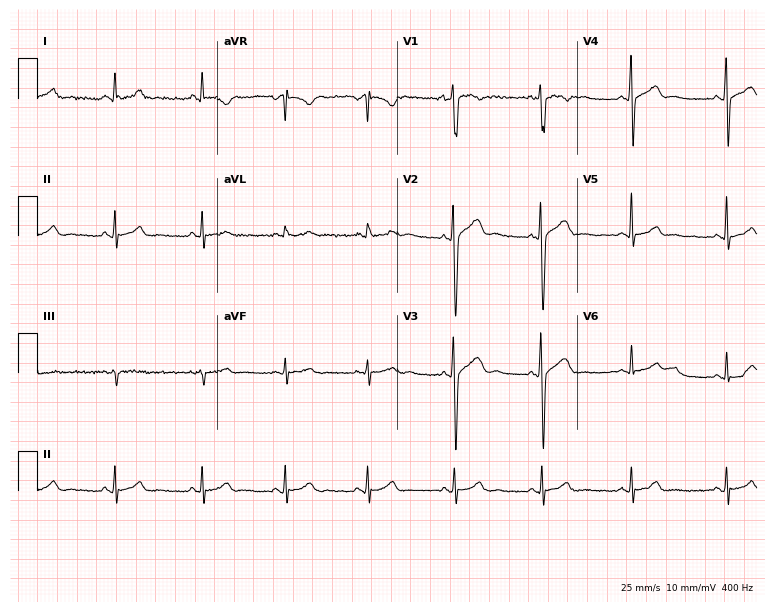
12-lead ECG from a male patient, 22 years old (7.3-second recording at 400 Hz). Recorded interpretation: within normal limits.